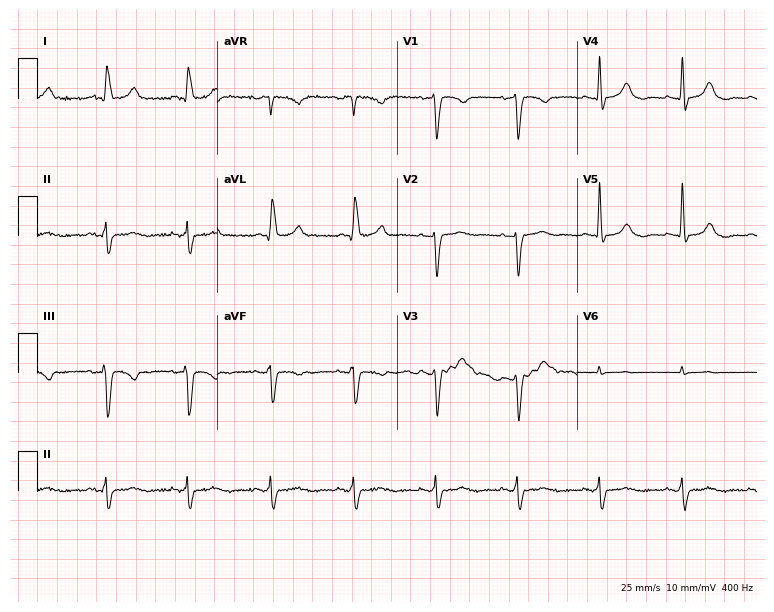
Electrocardiogram (7.3-second recording at 400 Hz), a woman, 71 years old. Of the six screened findings (first-degree AV block, right bundle branch block (RBBB), left bundle branch block (LBBB), sinus bradycardia, atrial fibrillation (AF), sinus tachycardia), none is recorded.